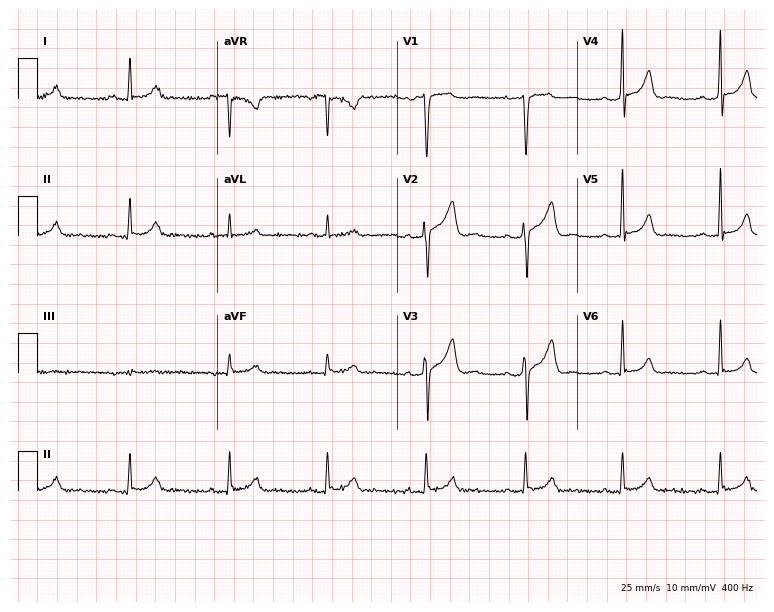
Standard 12-lead ECG recorded from a male patient, 41 years old (7.3-second recording at 400 Hz). None of these six findings is recorded: first-degree AV block, right bundle branch block (RBBB), left bundle branch block (LBBB), sinus bradycardia, atrial fibrillation (AF), sinus tachycardia.